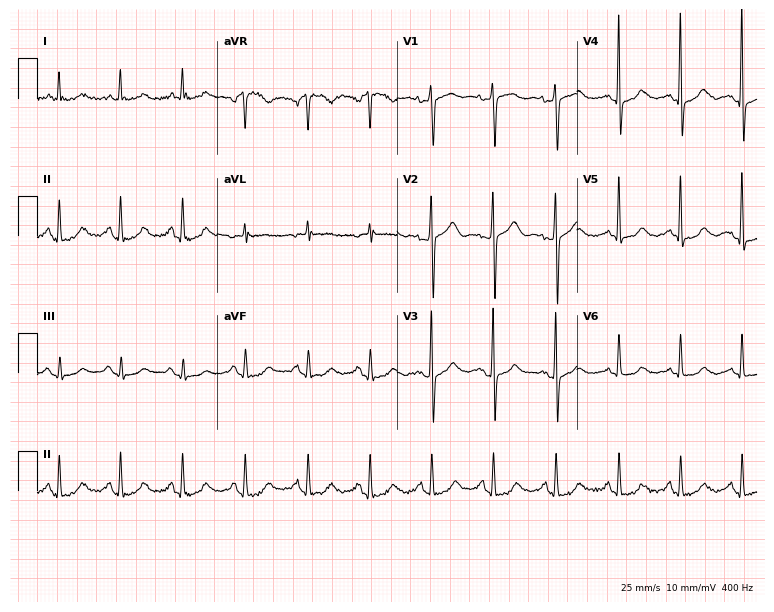
12-lead ECG from a 60-year-old woman. Recorded interpretation: within normal limits.